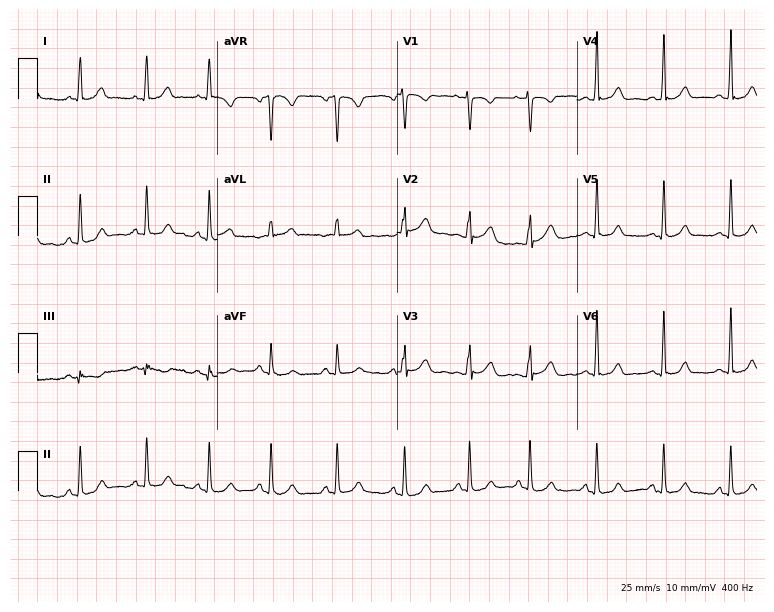
Electrocardiogram (7.3-second recording at 400 Hz), a female patient, 19 years old. Of the six screened findings (first-degree AV block, right bundle branch block (RBBB), left bundle branch block (LBBB), sinus bradycardia, atrial fibrillation (AF), sinus tachycardia), none is recorded. Other findings, if any, are not listed.